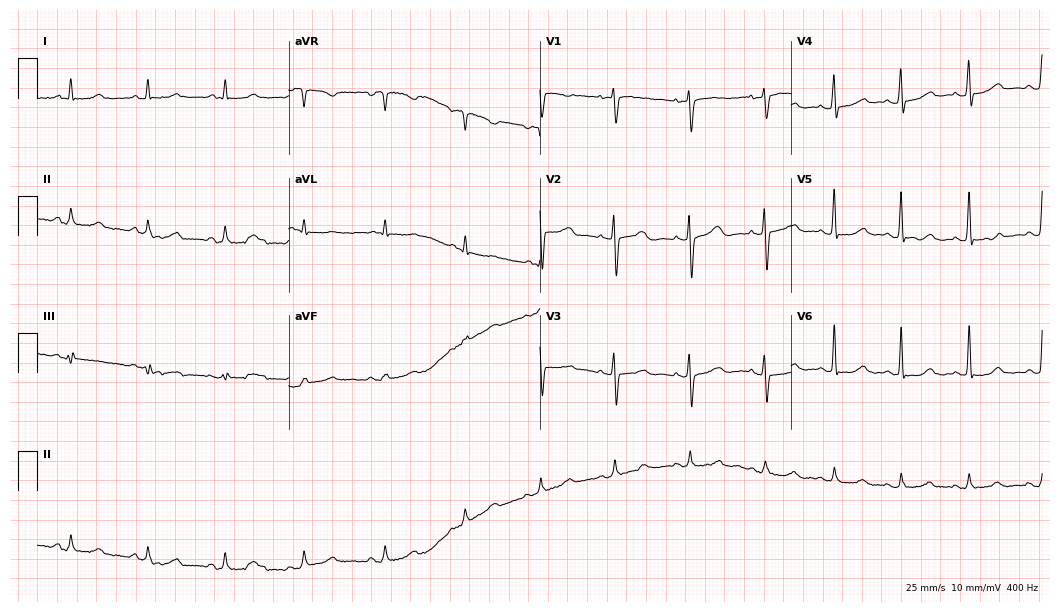
Standard 12-lead ECG recorded from a 50-year-old female patient. None of these six findings is recorded: first-degree AV block, right bundle branch block, left bundle branch block, sinus bradycardia, atrial fibrillation, sinus tachycardia. Findings outside these six are not listed.